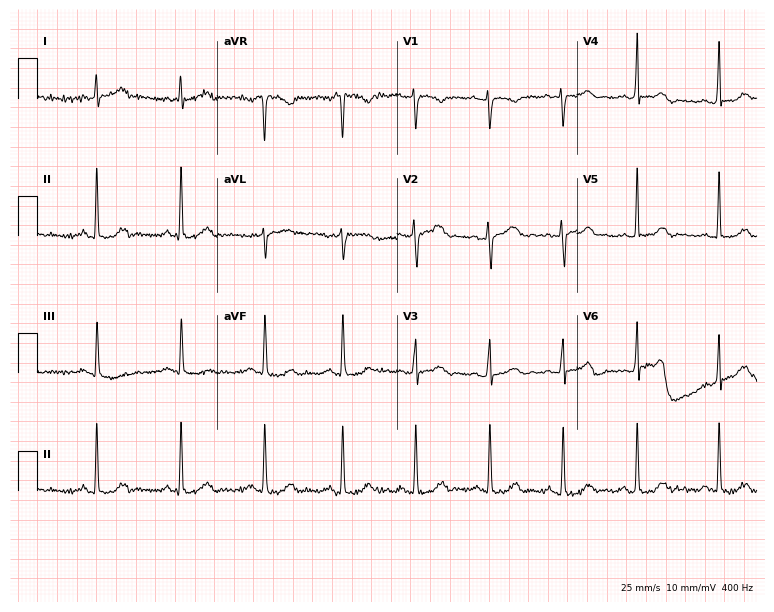
12-lead ECG from a female, 28 years old (7.3-second recording at 400 Hz). Recorded interpretation: within normal limits.